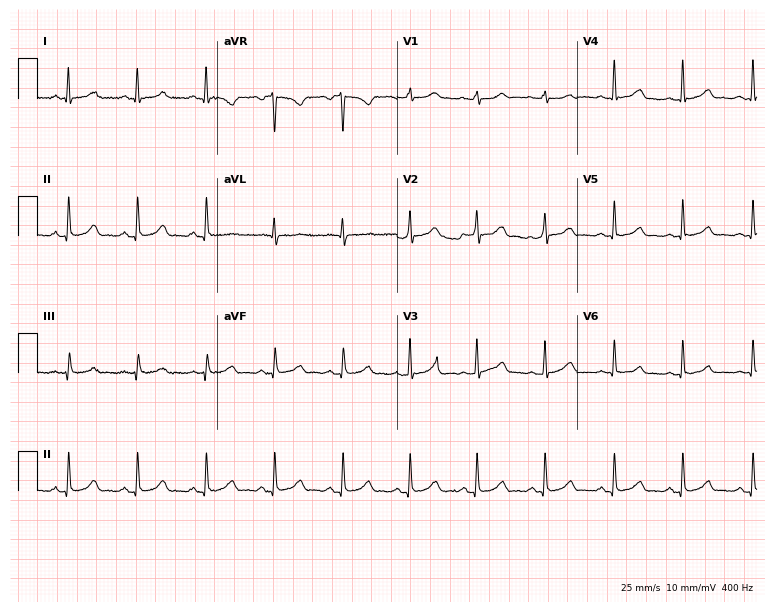
Resting 12-lead electrocardiogram. Patient: a female, 27 years old. Read as a normal ECG.